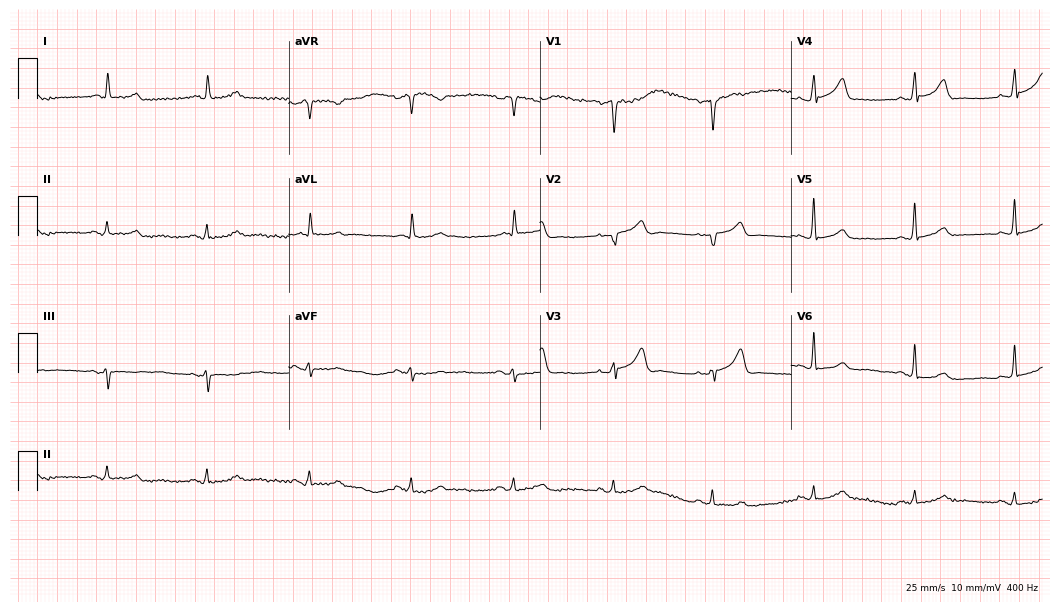
Resting 12-lead electrocardiogram (10.2-second recording at 400 Hz). Patient: a 75-year-old male. Read as a normal ECG.